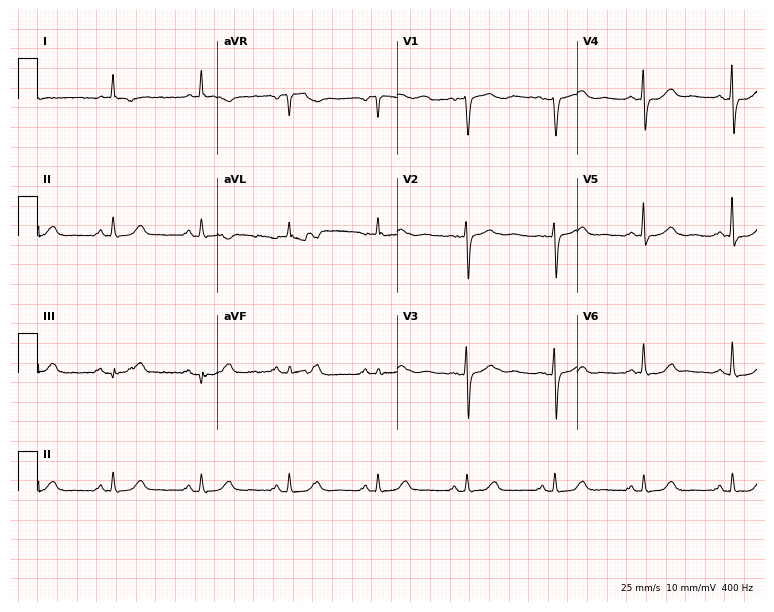
Electrocardiogram, a female patient, 72 years old. Of the six screened findings (first-degree AV block, right bundle branch block, left bundle branch block, sinus bradycardia, atrial fibrillation, sinus tachycardia), none is recorded.